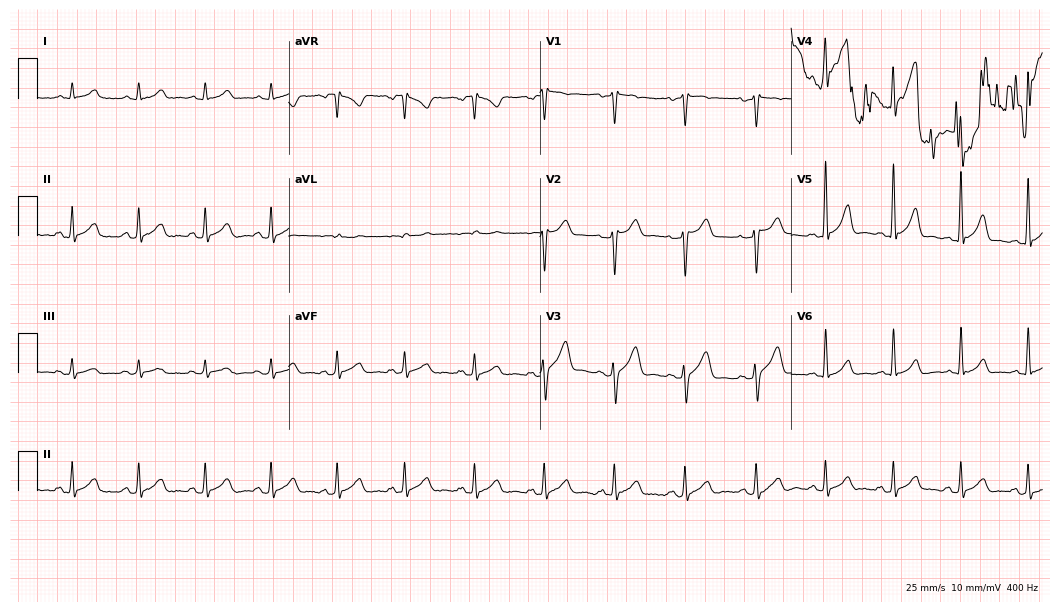
Resting 12-lead electrocardiogram. Patient: a 25-year-old male. None of these six findings is recorded: first-degree AV block, right bundle branch block, left bundle branch block, sinus bradycardia, atrial fibrillation, sinus tachycardia.